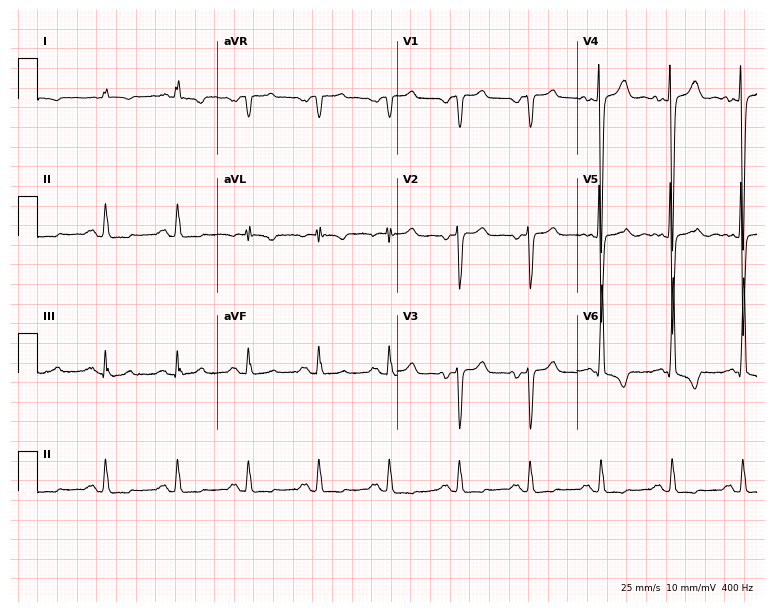
12-lead ECG from a man, 53 years old. No first-degree AV block, right bundle branch block, left bundle branch block, sinus bradycardia, atrial fibrillation or sinus tachycardia recorded for this tracing. Other findings, if any, are not listed.